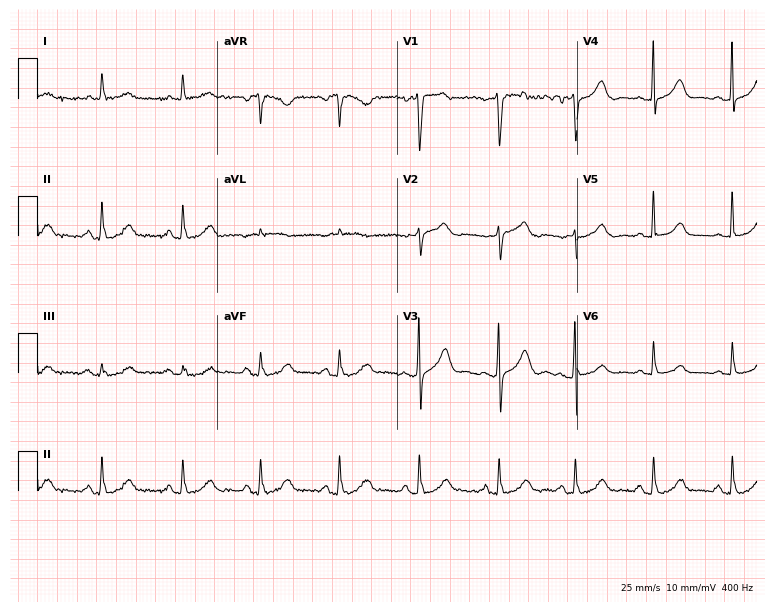
12-lead ECG from a male, 32 years old (7.3-second recording at 400 Hz). Recorded interpretation: within normal limits.